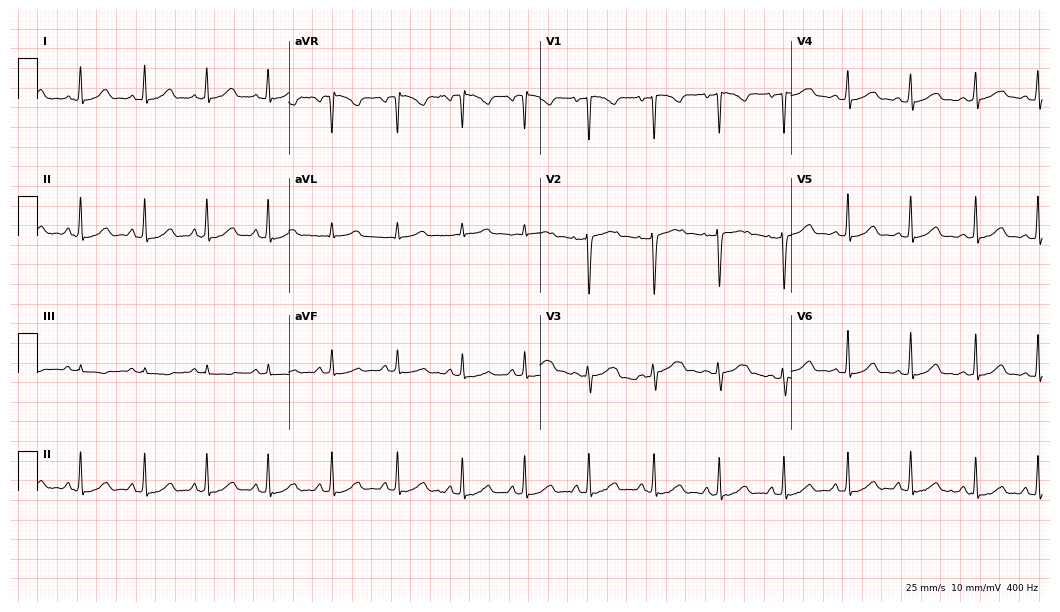
12-lead ECG from a 34-year-old female (10.2-second recording at 400 Hz). Recorded interpretation: within normal limits.